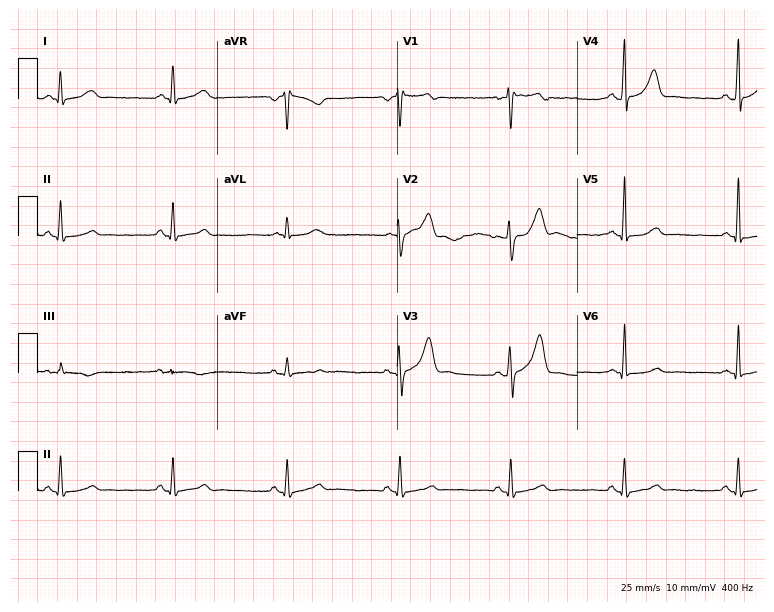
ECG — a male patient, 52 years old. Screened for six findings — first-degree AV block, right bundle branch block (RBBB), left bundle branch block (LBBB), sinus bradycardia, atrial fibrillation (AF), sinus tachycardia — none is recorded. Findings outside these six are not listed.